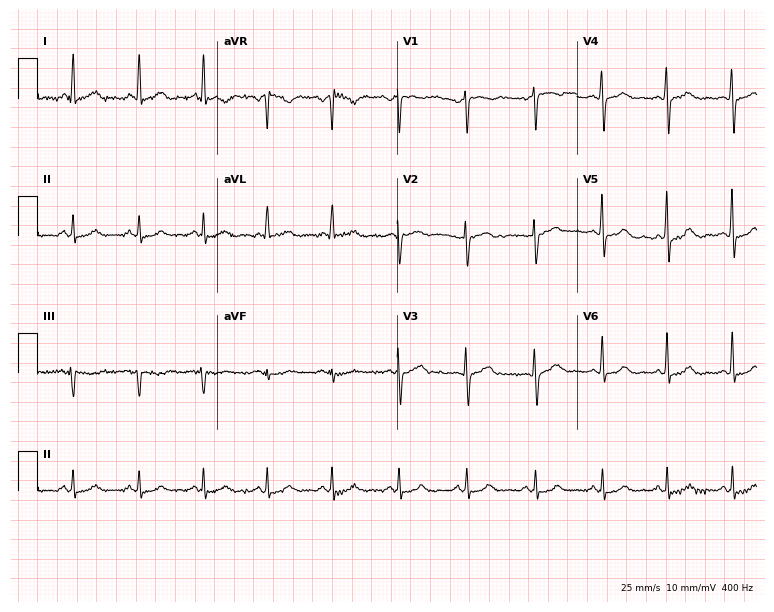
12-lead ECG (7.3-second recording at 400 Hz) from a 48-year-old female patient. Labelled as a normal ECG.